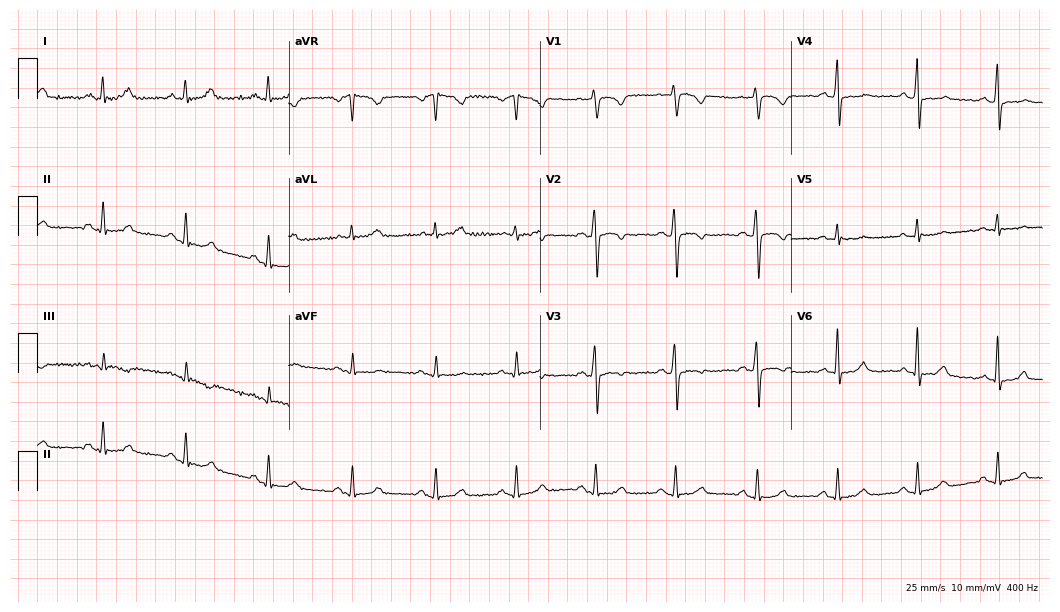
Standard 12-lead ECG recorded from a 54-year-old female patient. None of these six findings is recorded: first-degree AV block, right bundle branch block, left bundle branch block, sinus bradycardia, atrial fibrillation, sinus tachycardia. Findings outside these six are not listed.